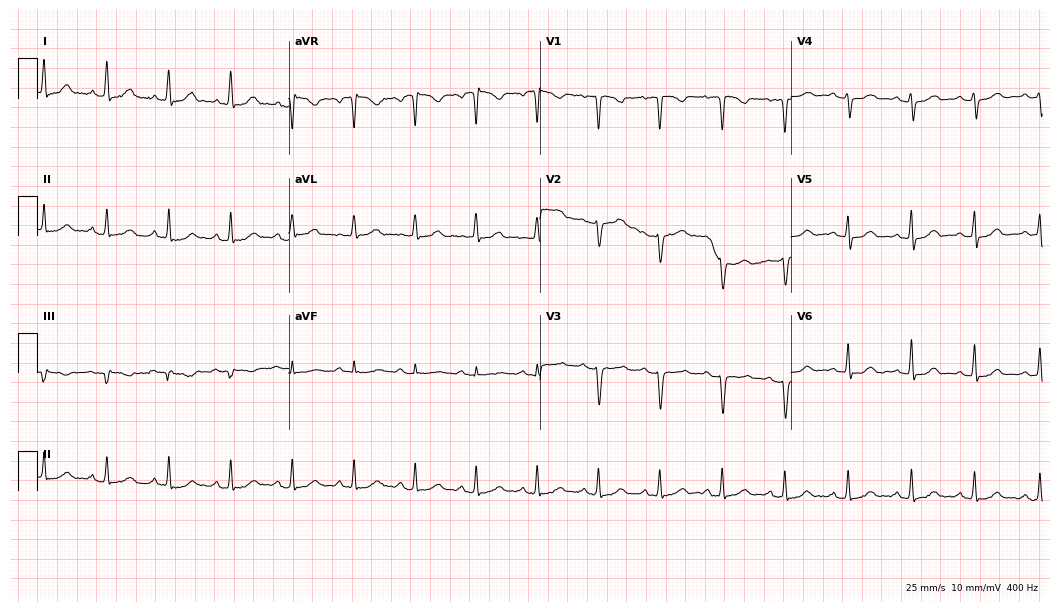
ECG (10.2-second recording at 400 Hz) — a 47-year-old female patient. Screened for six findings — first-degree AV block, right bundle branch block (RBBB), left bundle branch block (LBBB), sinus bradycardia, atrial fibrillation (AF), sinus tachycardia — none is recorded. Only these six findings were labelled.